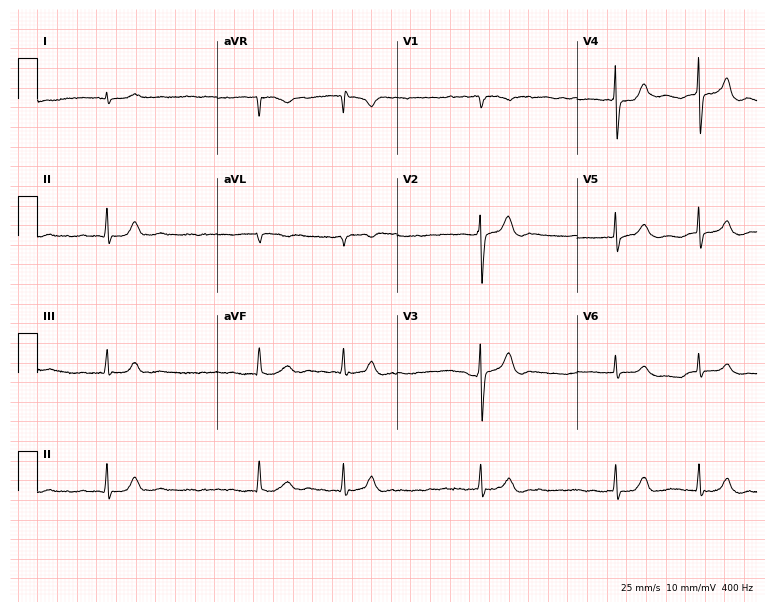
ECG (7.3-second recording at 400 Hz) — an 82-year-old man. Findings include atrial fibrillation.